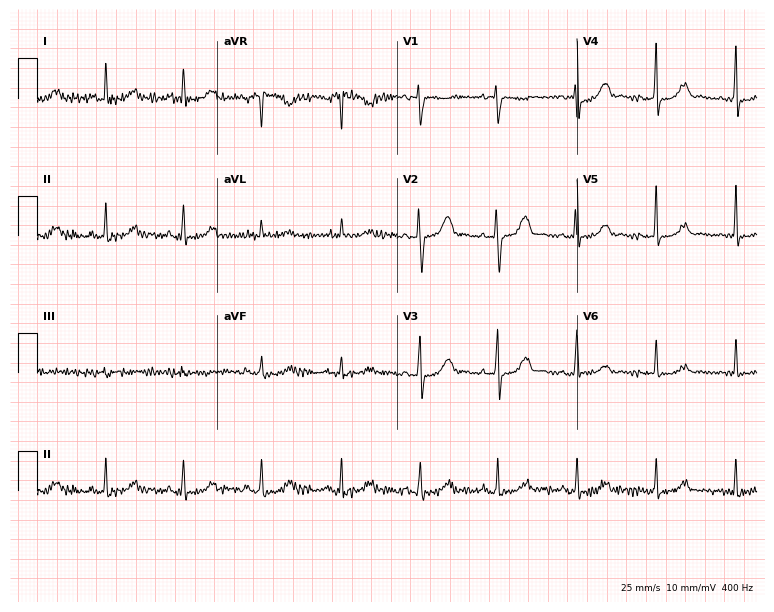
12-lead ECG (7.3-second recording at 400 Hz) from a 68-year-old female patient. Labelled as a normal ECG.